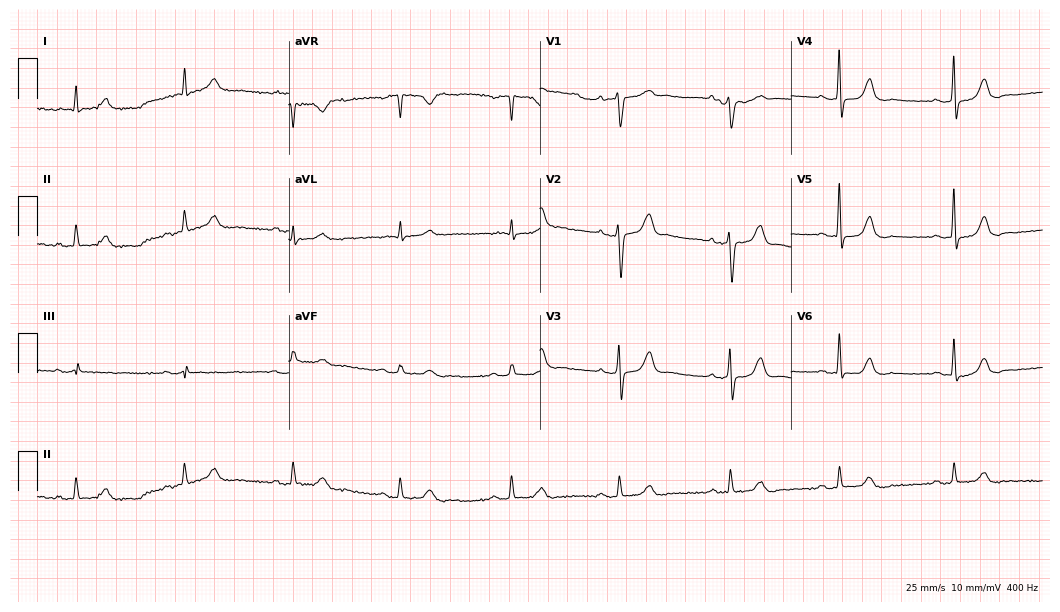
12-lead ECG (10.2-second recording at 400 Hz) from an 83-year-old male. Labelled as a normal ECG.